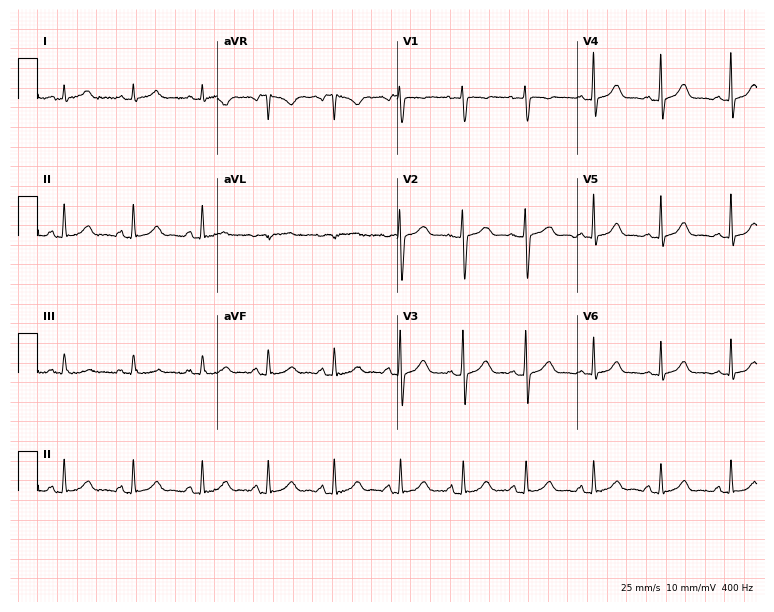
ECG — a female, 24 years old. Labelled as a normal ECG.